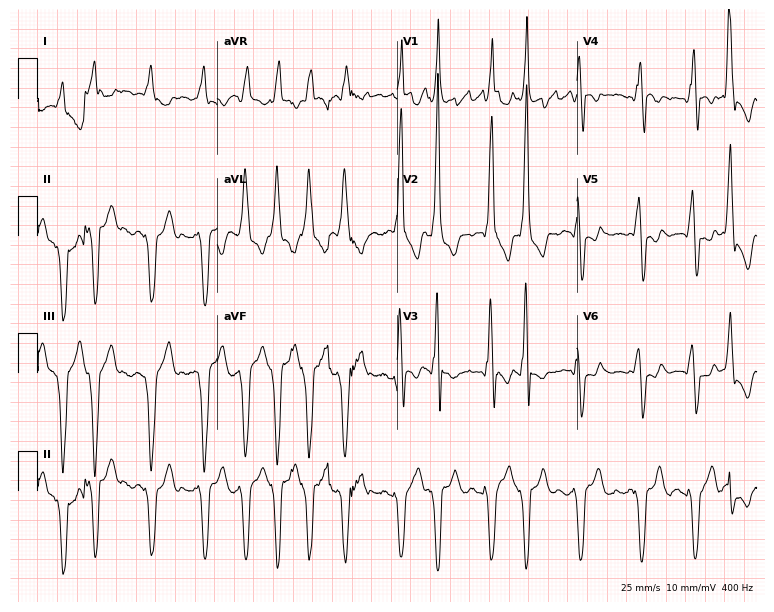
12-lead ECG (7.3-second recording at 400 Hz) from a male patient, 74 years old. Findings include right bundle branch block.